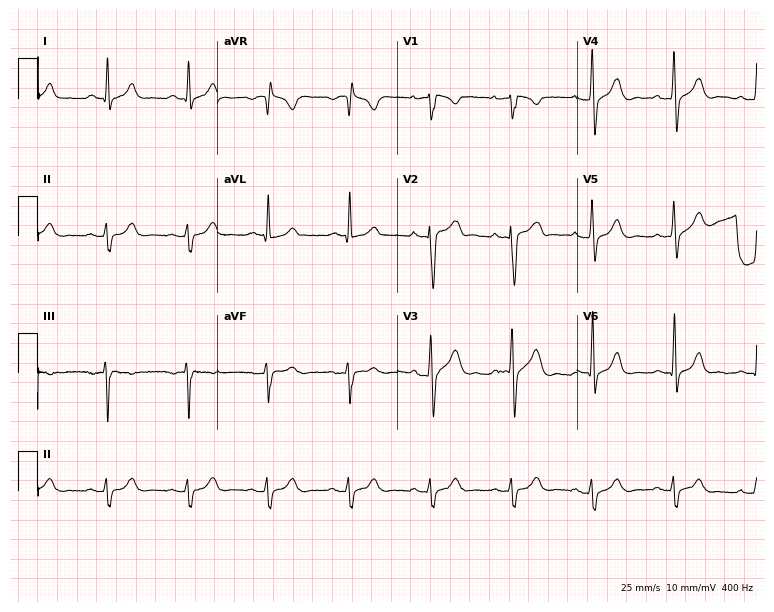
Resting 12-lead electrocardiogram (7.3-second recording at 400 Hz). Patient: a male, 48 years old. None of these six findings is recorded: first-degree AV block, right bundle branch block, left bundle branch block, sinus bradycardia, atrial fibrillation, sinus tachycardia. Other findings, if any, are not listed.